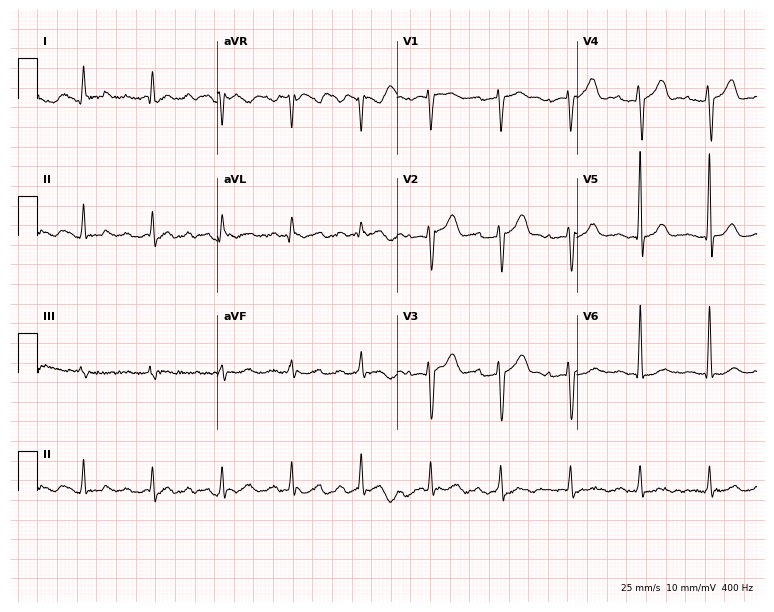
ECG (7.3-second recording at 400 Hz) — a male patient, 68 years old. Findings include first-degree AV block.